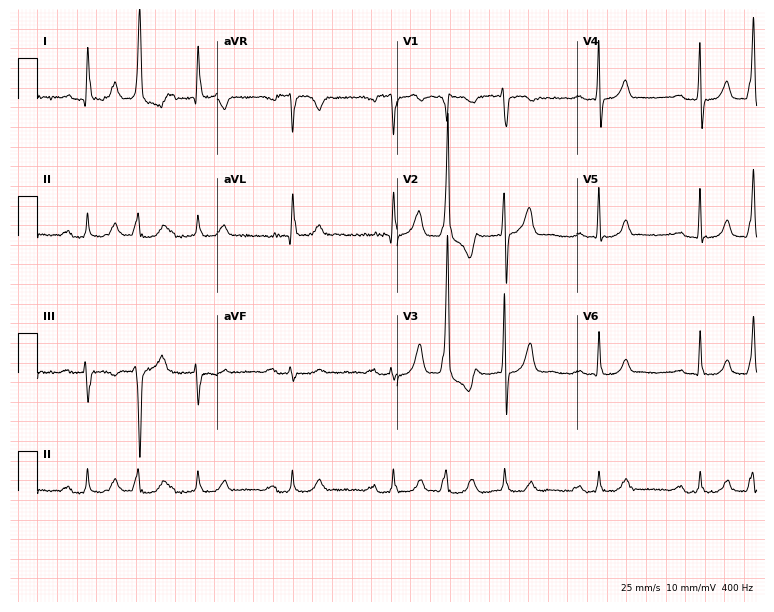
ECG — a woman, 73 years old. Findings include first-degree AV block.